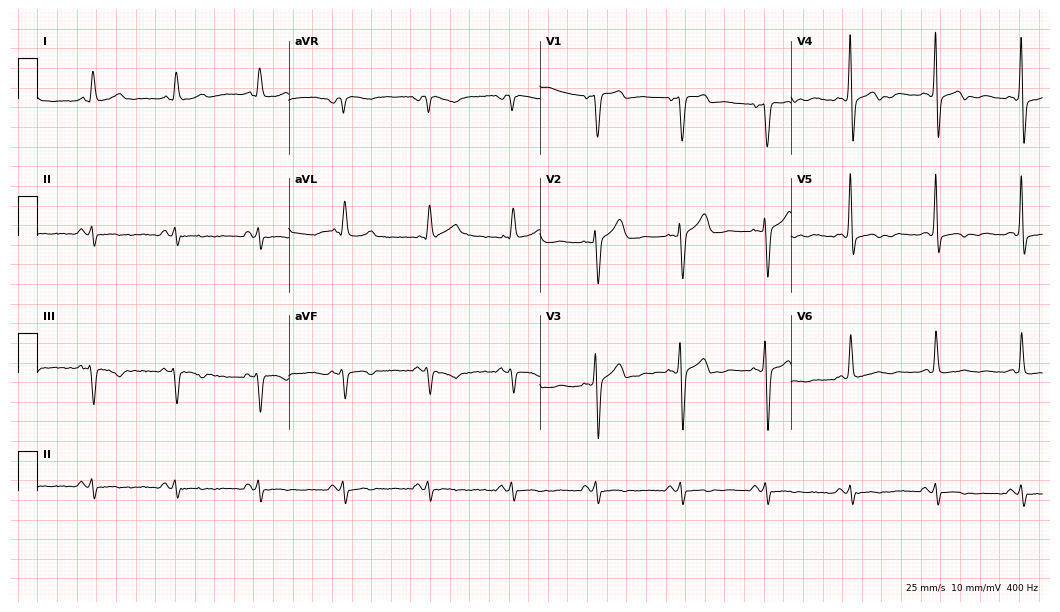
12-lead ECG from a male, 61 years old (10.2-second recording at 400 Hz). No first-degree AV block, right bundle branch block, left bundle branch block, sinus bradycardia, atrial fibrillation or sinus tachycardia recorded for this tracing. Other findings, if any, are not listed.